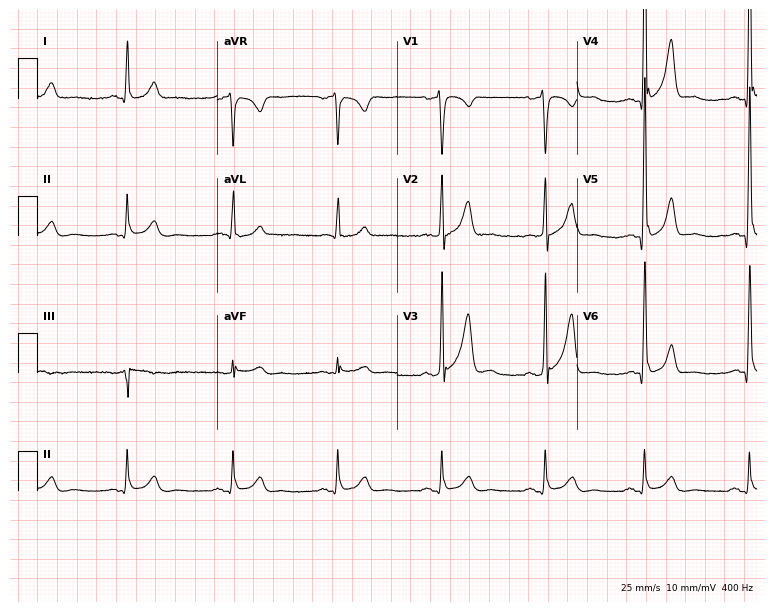
Resting 12-lead electrocardiogram (7.3-second recording at 400 Hz). Patient: a 43-year-old man. None of these six findings is recorded: first-degree AV block, right bundle branch block, left bundle branch block, sinus bradycardia, atrial fibrillation, sinus tachycardia. Other findings, if any, are not listed.